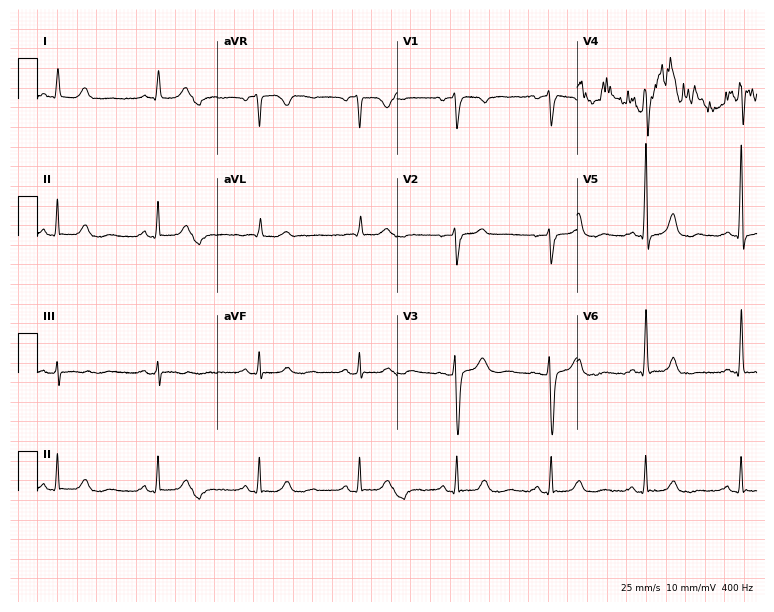
Resting 12-lead electrocardiogram (7.3-second recording at 400 Hz). Patient: a female, 62 years old. None of these six findings is recorded: first-degree AV block, right bundle branch block, left bundle branch block, sinus bradycardia, atrial fibrillation, sinus tachycardia.